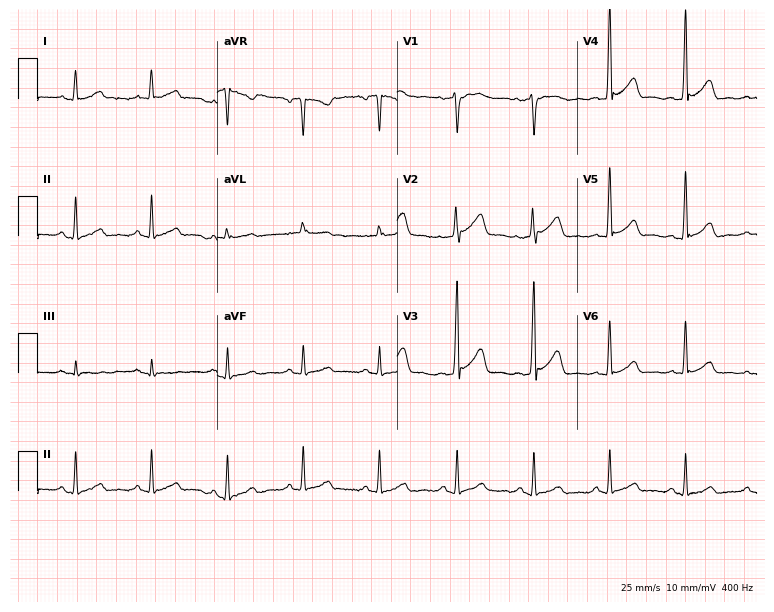
12-lead ECG from a male patient, 64 years old. Screened for six findings — first-degree AV block, right bundle branch block, left bundle branch block, sinus bradycardia, atrial fibrillation, sinus tachycardia — none is recorded.